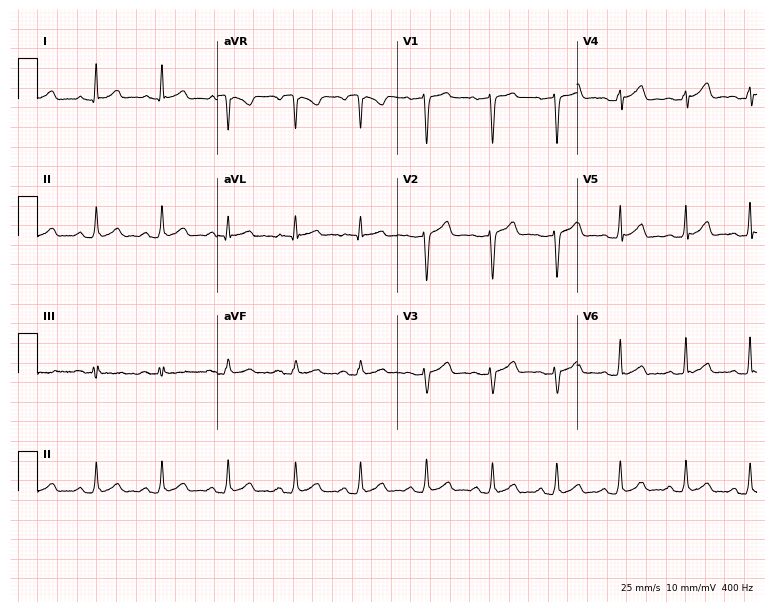
Electrocardiogram (7.3-second recording at 400 Hz), a 28-year-old female. Of the six screened findings (first-degree AV block, right bundle branch block (RBBB), left bundle branch block (LBBB), sinus bradycardia, atrial fibrillation (AF), sinus tachycardia), none is recorded.